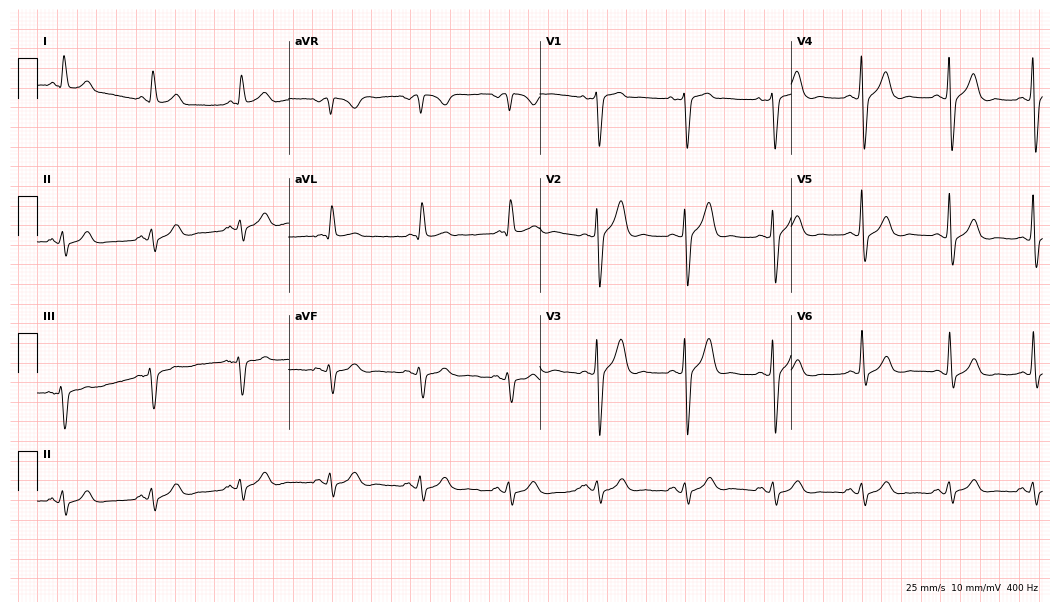
Standard 12-lead ECG recorded from a 60-year-old male. None of these six findings is recorded: first-degree AV block, right bundle branch block (RBBB), left bundle branch block (LBBB), sinus bradycardia, atrial fibrillation (AF), sinus tachycardia. Findings outside these six are not listed.